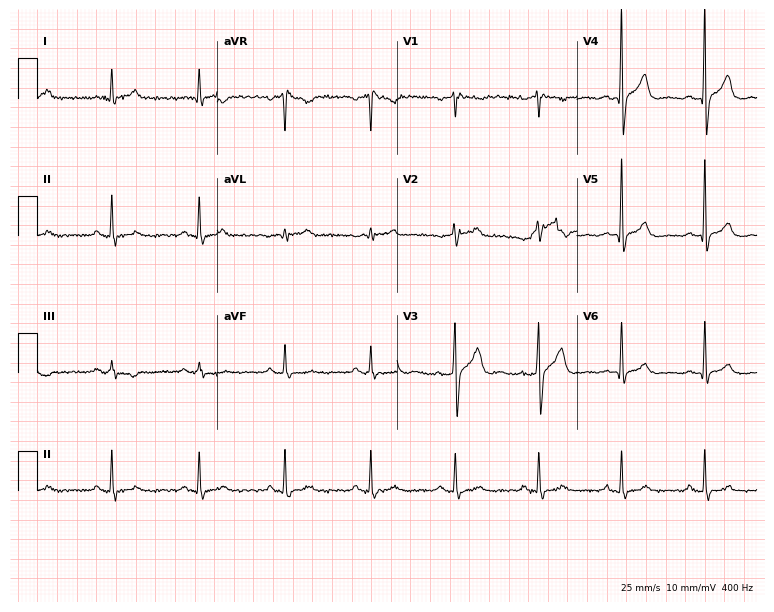
Electrocardiogram (7.3-second recording at 400 Hz), a 67-year-old male. Overall reading on record: normal ECG.